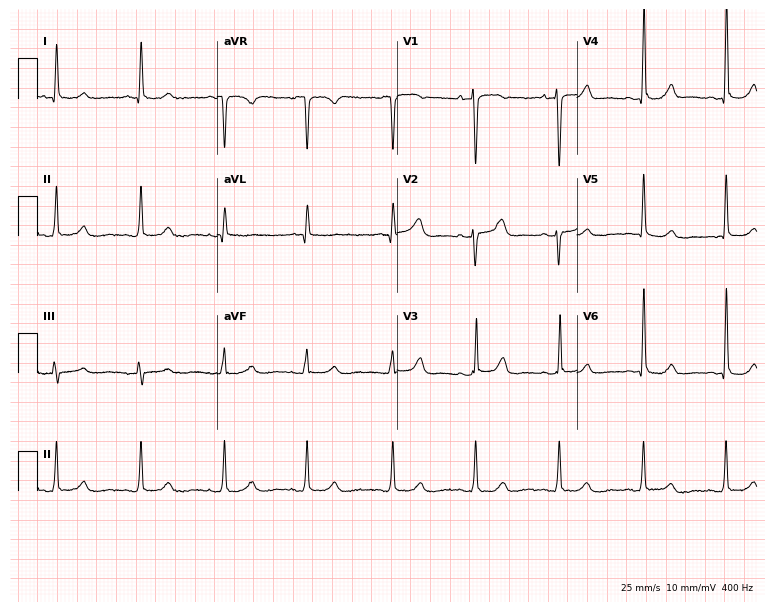
ECG (7.3-second recording at 400 Hz) — a woman, 55 years old. Labelled as a normal ECG.